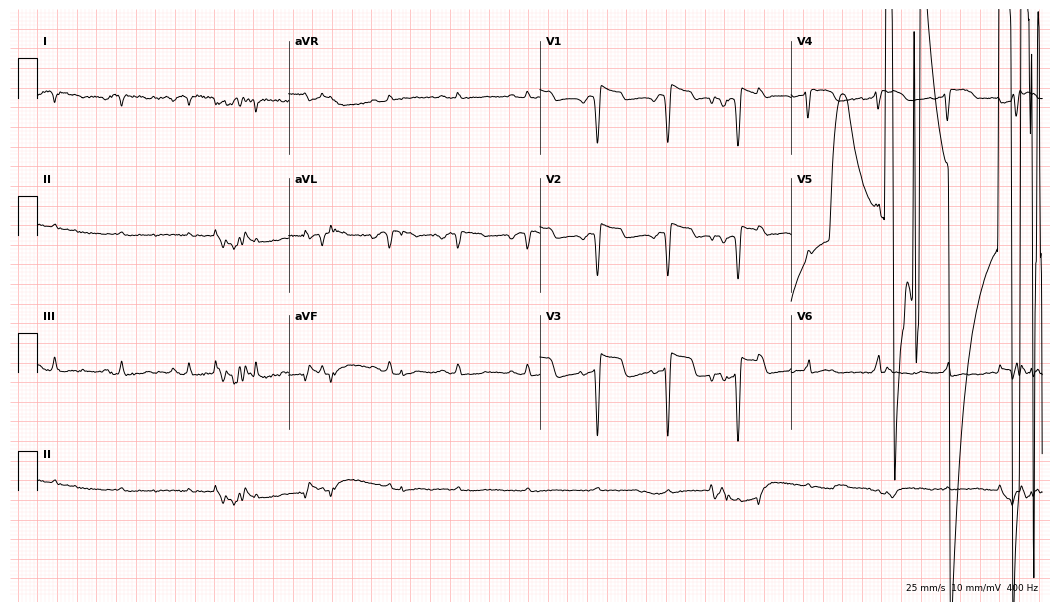
Standard 12-lead ECG recorded from a male patient, 75 years old. None of these six findings is recorded: first-degree AV block, right bundle branch block (RBBB), left bundle branch block (LBBB), sinus bradycardia, atrial fibrillation (AF), sinus tachycardia.